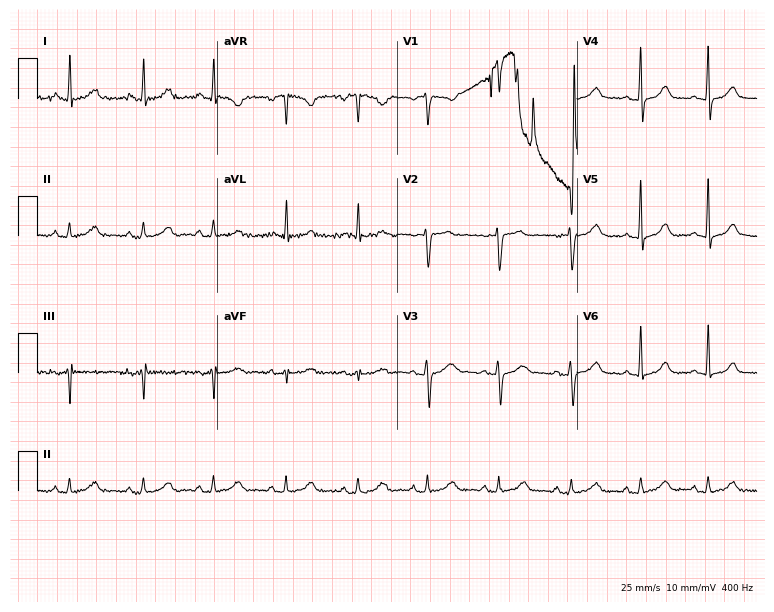
ECG — a 41-year-old woman. Labelled as a normal ECG.